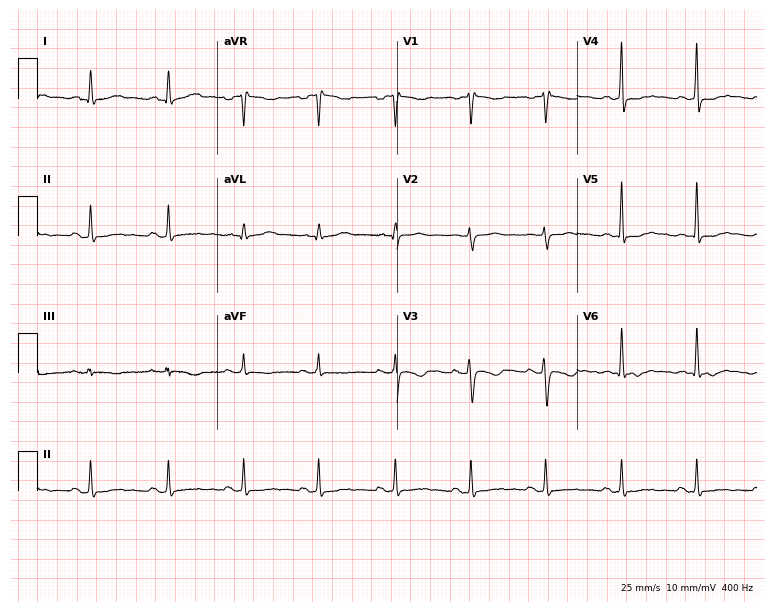
12-lead ECG from a 29-year-old female. Screened for six findings — first-degree AV block, right bundle branch block, left bundle branch block, sinus bradycardia, atrial fibrillation, sinus tachycardia — none is recorded. Other findings, if any, are not listed.